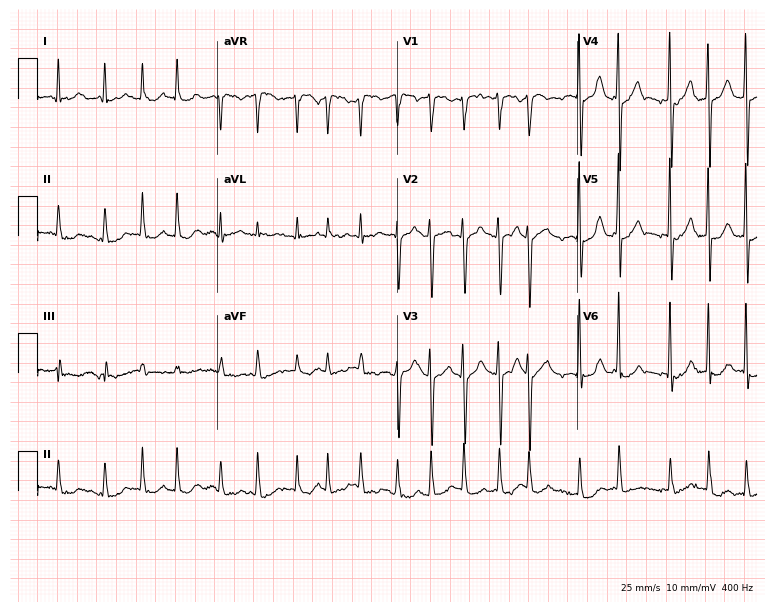
Electrocardiogram (7.3-second recording at 400 Hz), a 70-year-old male patient. Interpretation includes atrial fibrillation.